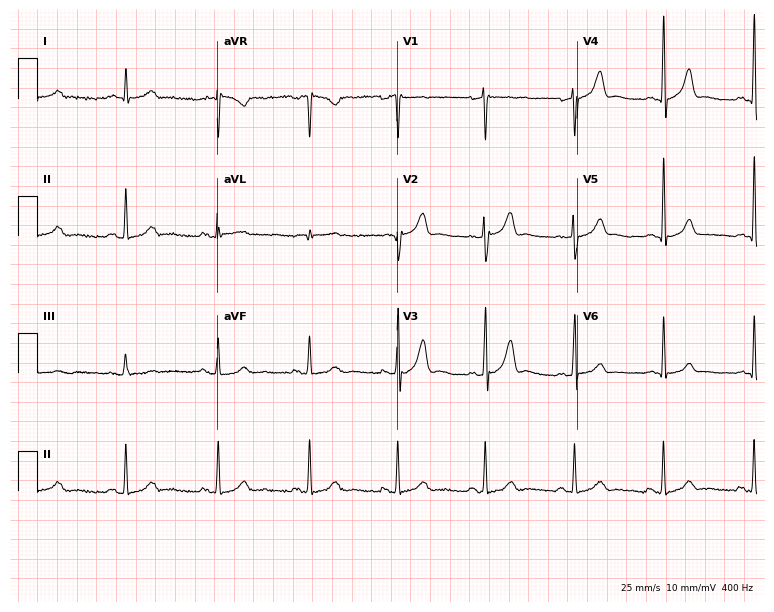
Electrocardiogram, a 59-year-old male patient. Of the six screened findings (first-degree AV block, right bundle branch block, left bundle branch block, sinus bradycardia, atrial fibrillation, sinus tachycardia), none is recorded.